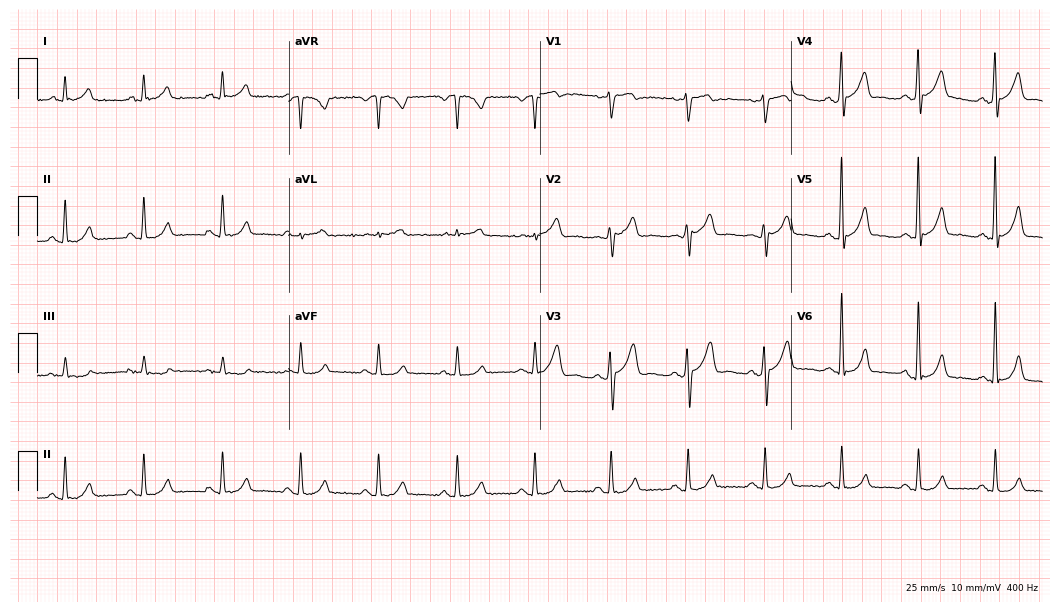
ECG — a male patient, 50 years old. Labelled as a normal ECG.